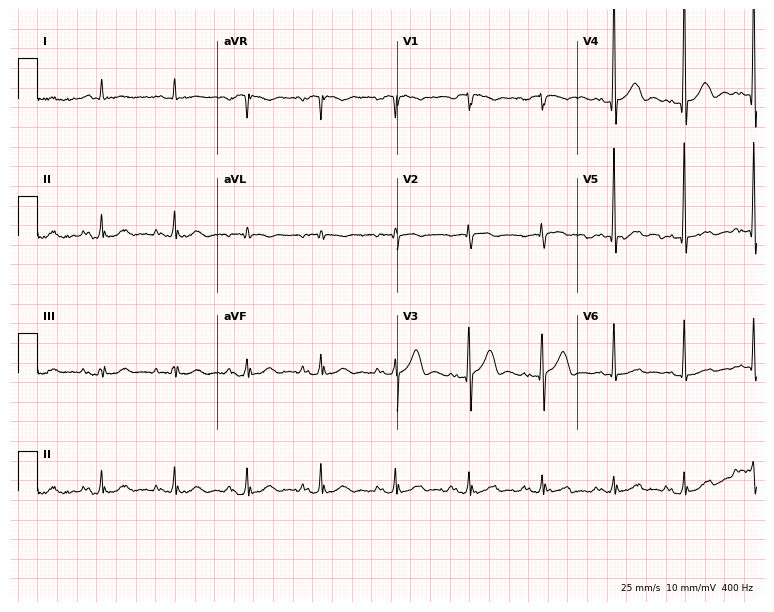
12-lead ECG from a 74-year-old man (7.3-second recording at 400 Hz). Recorded interpretation: within normal limits.